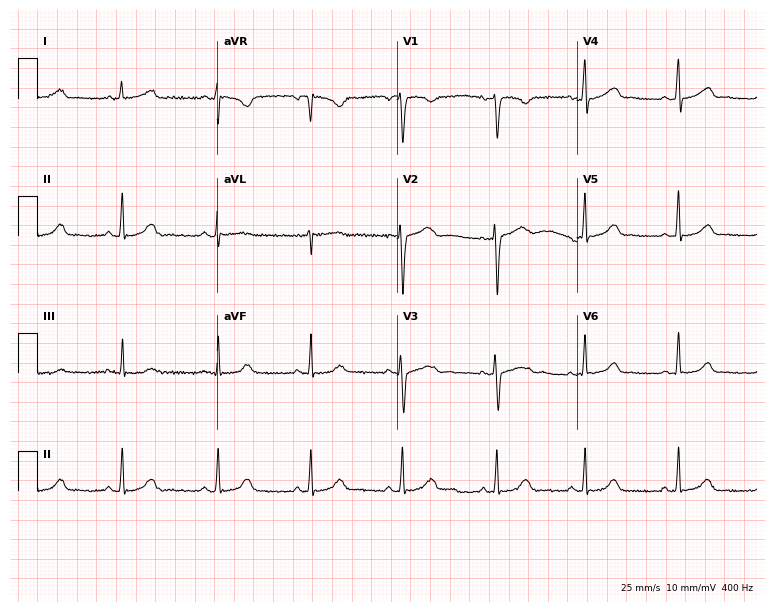
Electrocardiogram, a 43-year-old woman. Of the six screened findings (first-degree AV block, right bundle branch block, left bundle branch block, sinus bradycardia, atrial fibrillation, sinus tachycardia), none is recorded. Findings outside these six are not listed.